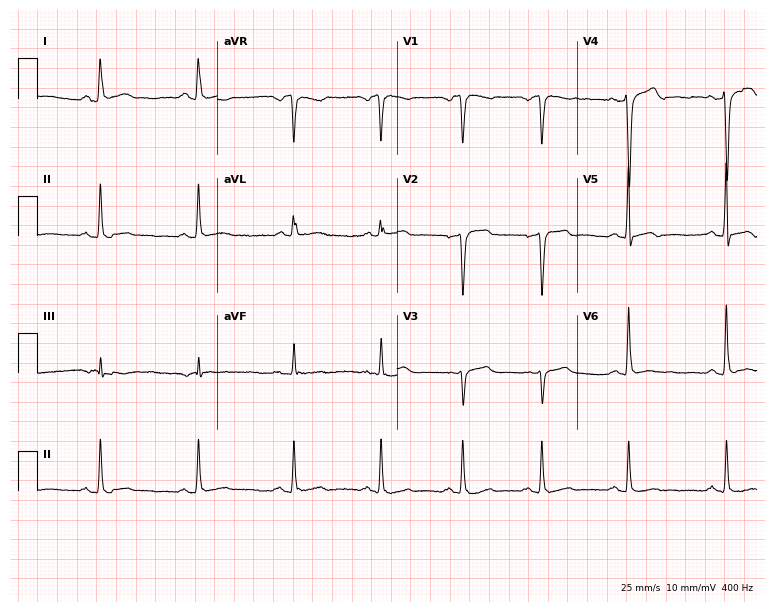
Standard 12-lead ECG recorded from a 50-year-old male patient. None of these six findings is recorded: first-degree AV block, right bundle branch block, left bundle branch block, sinus bradycardia, atrial fibrillation, sinus tachycardia.